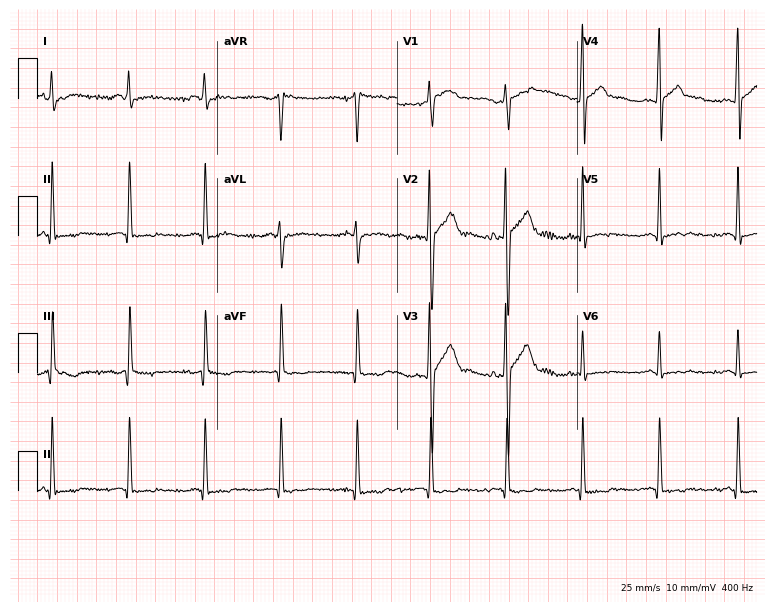
Electrocardiogram (7.3-second recording at 400 Hz), a male patient, 22 years old. Overall reading on record: normal ECG.